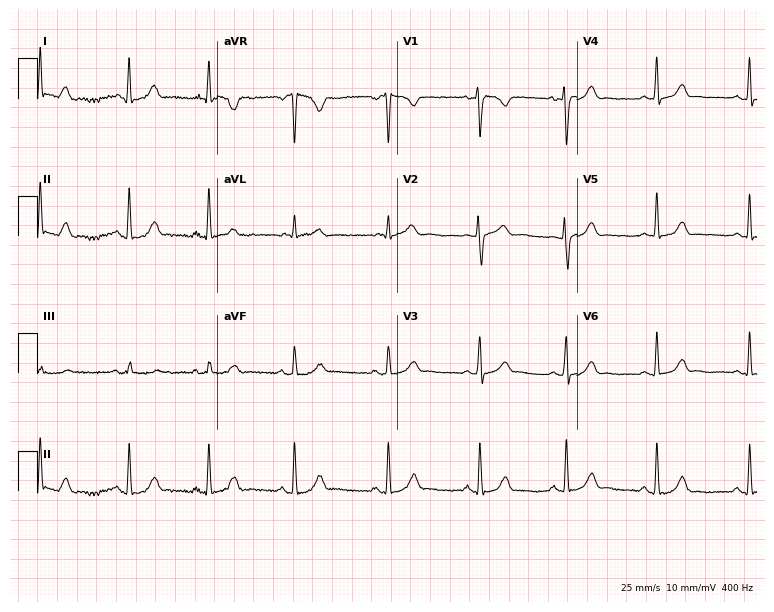
Standard 12-lead ECG recorded from a 19-year-old woman (7.3-second recording at 400 Hz). None of these six findings is recorded: first-degree AV block, right bundle branch block (RBBB), left bundle branch block (LBBB), sinus bradycardia, atrial fibrillation (AF), sinus tachycardia. Only these six findings were labelled.